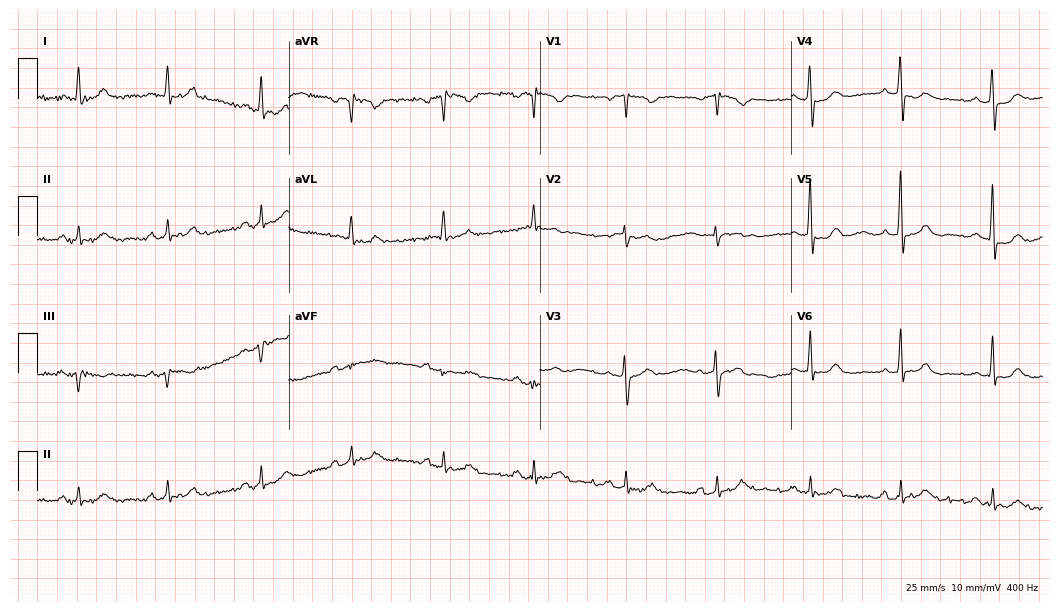
Electrocardiogram, a female patient, 73 years old. Of the six screened findings (first-degree AV block, right bundle branch block, left bundle branch block, sinus bradycardia, atrial fibrillation, sinus tachycardia), none is recorded. Other findings, if any, are not listed.